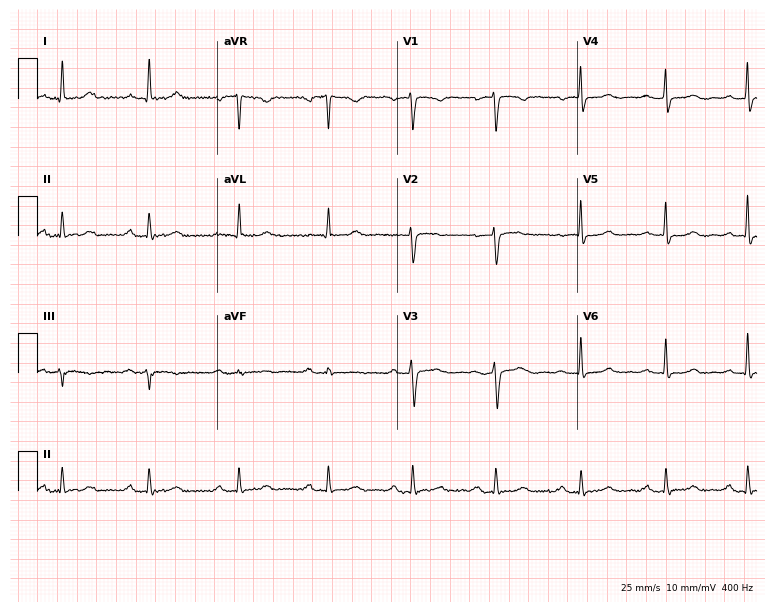
Resting 12-lead electrocardiogram (7.3-second recording at 400 Hz). Patient: a 52-year-old woman. None of these six findings is recorded: first-degree AV block, right bundle branch block, left bundle branch block, sinus bradycardia, atrial fibrillation, sinus tachycardia. Other findings, if any, are not listed.